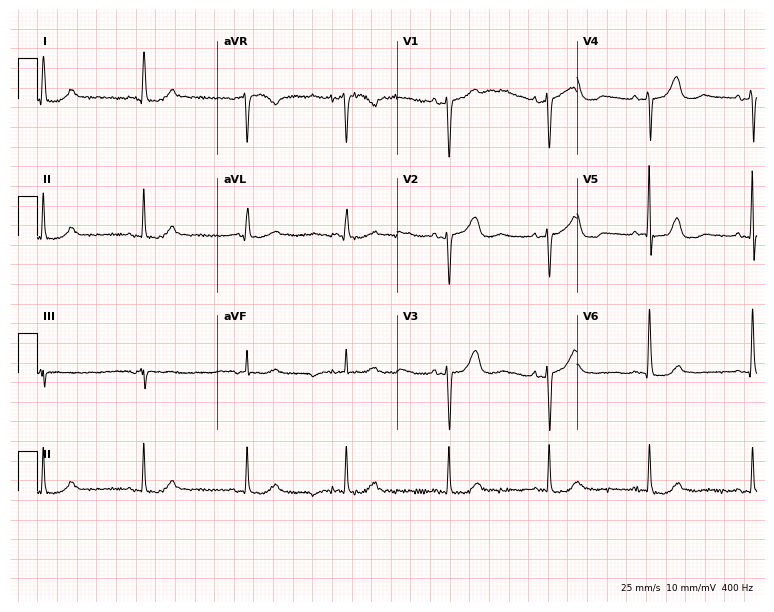
ECG (7.3-second recording at 400 Hz) — a woman, 76 years old. Labelled as a normal ECG.